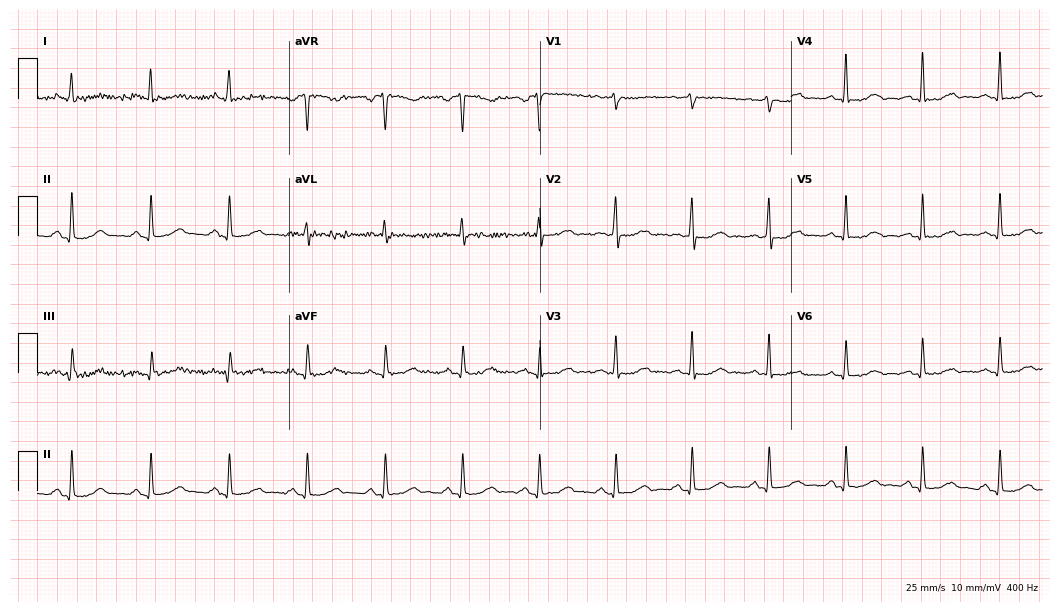
Standard 12-lead ECG recorded from a female, 58 years old (10.2-second recording at 400 Hz). None of these six findings is recorded: first-degree AV block, right bundle branch block, left bundle branch block, sinus bradycardia, atrial fibrillation, sinus tachycardia.